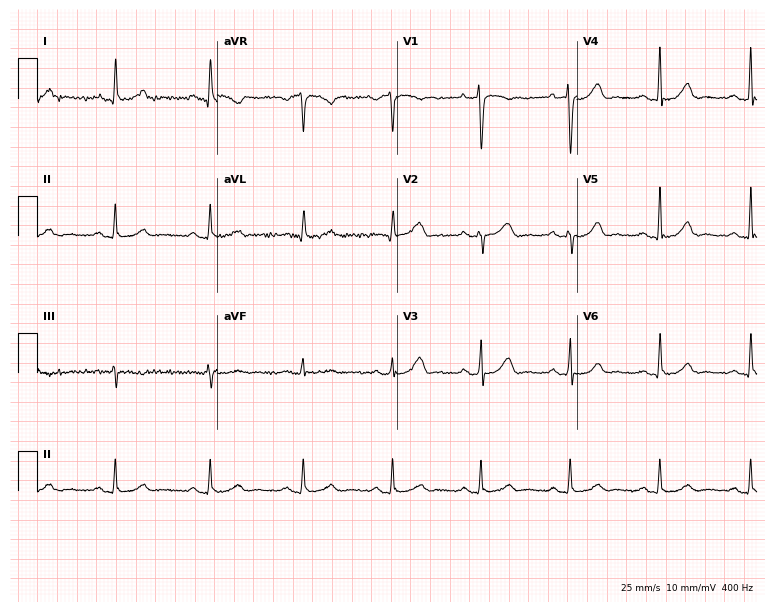
Standard 12-lead ECG recorded from a 52-year-old female (7.3-second recording at 400 Hz). Read as a normal ECG.